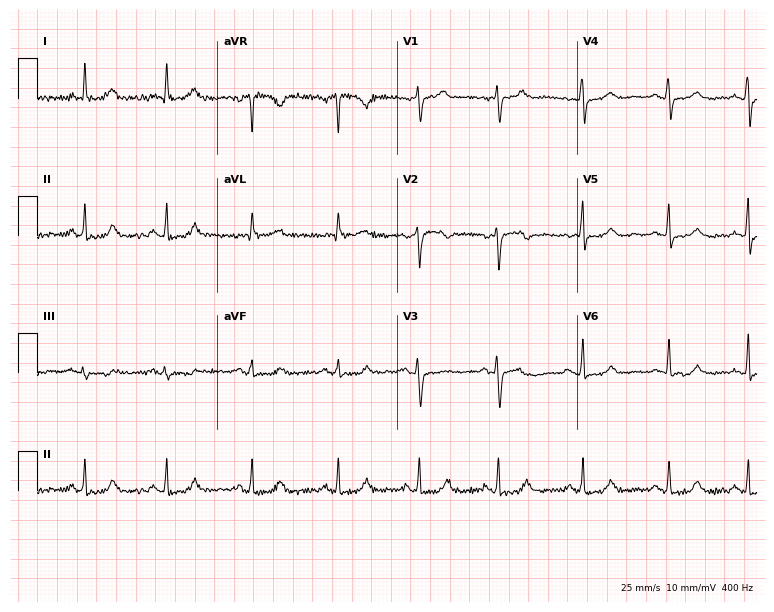
Electrocardiogram (7.3-second recording at 400 Hz), a female, 40 years old. Overall reading on record: normal ECG.